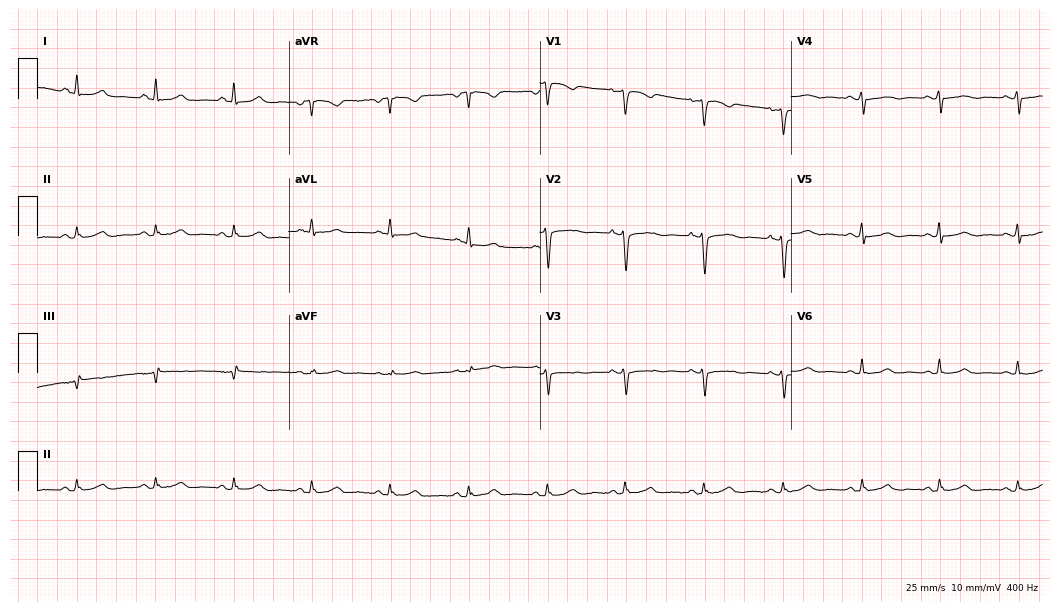
Electrocardiogram, a 54-year-old female patient. Of the six screened findings (first-degree AV block, right bundle branch block, left bundle branch block, sinus bradycardia, atrial fibrillation, sinus tachycardia), none is recorded. Findings outside these six are not listed.